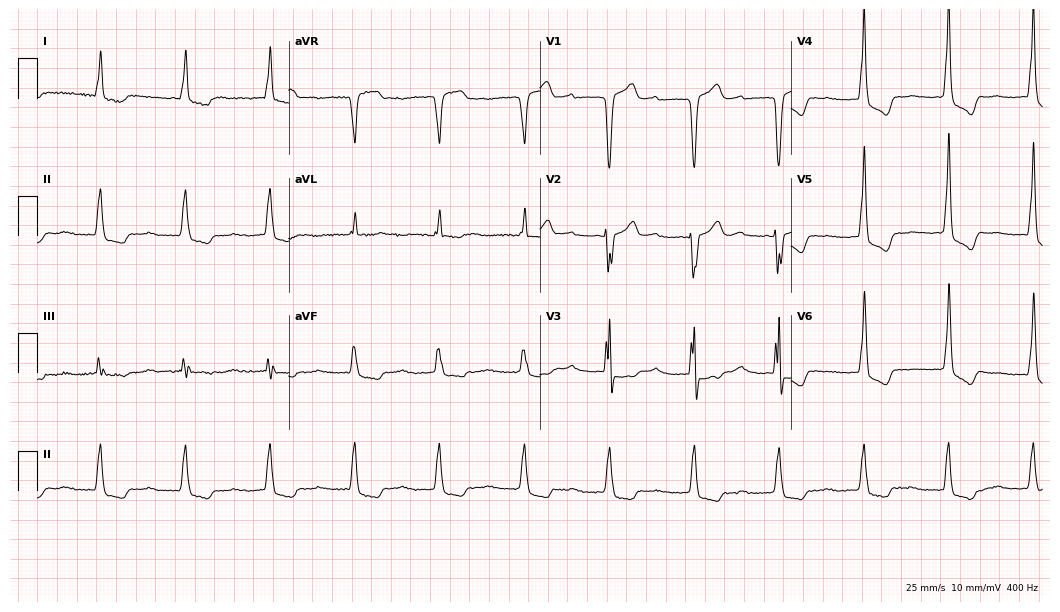
ECG (10.2-second recording at 400 Hz) — a 75-year-old woman. Findings include first-degree AV block.